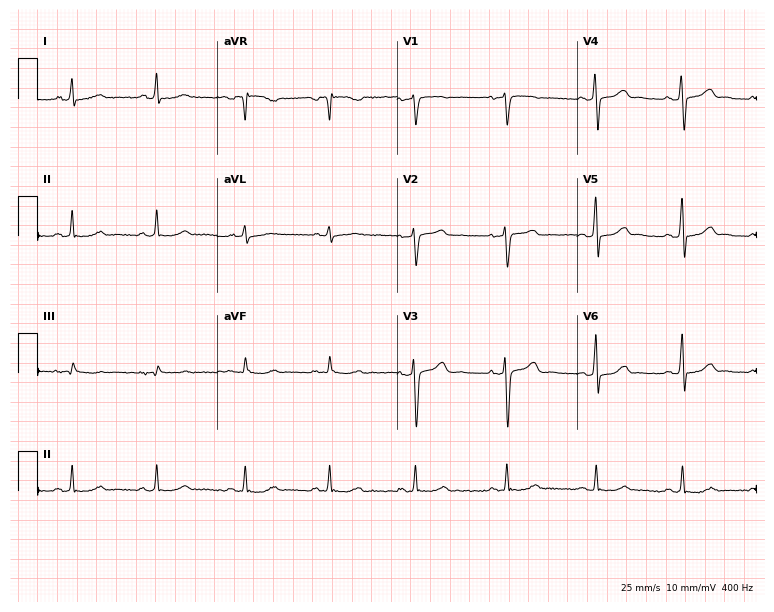
Standard 12-lead ECG recorded from a 36-year-old woman. None of these six findings is recorded: first-degree AV block, right bundle branch block, left bundle branch block, sinus bradycardia, atrial fibrillation, sinus tachycardia.